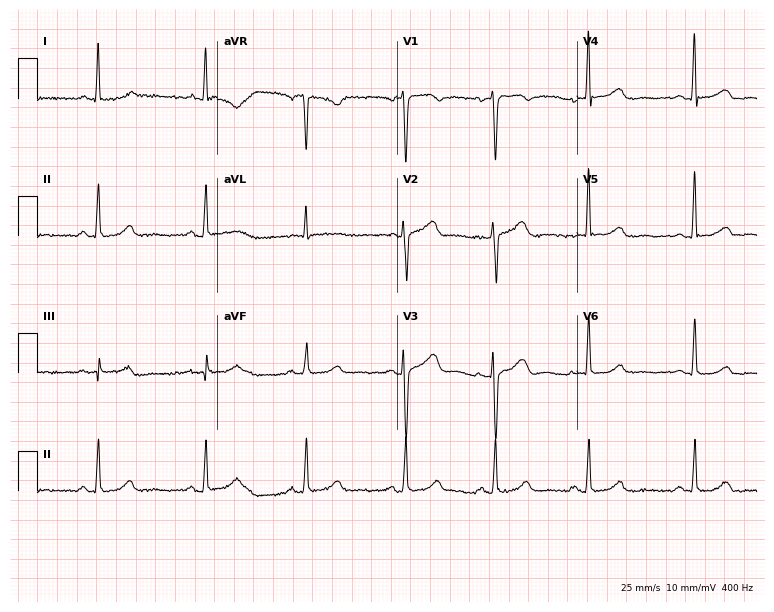
ECG (7.3-second recording at 400 Hz) — a female patient, 36 years old. Labelled as a normal ECG.